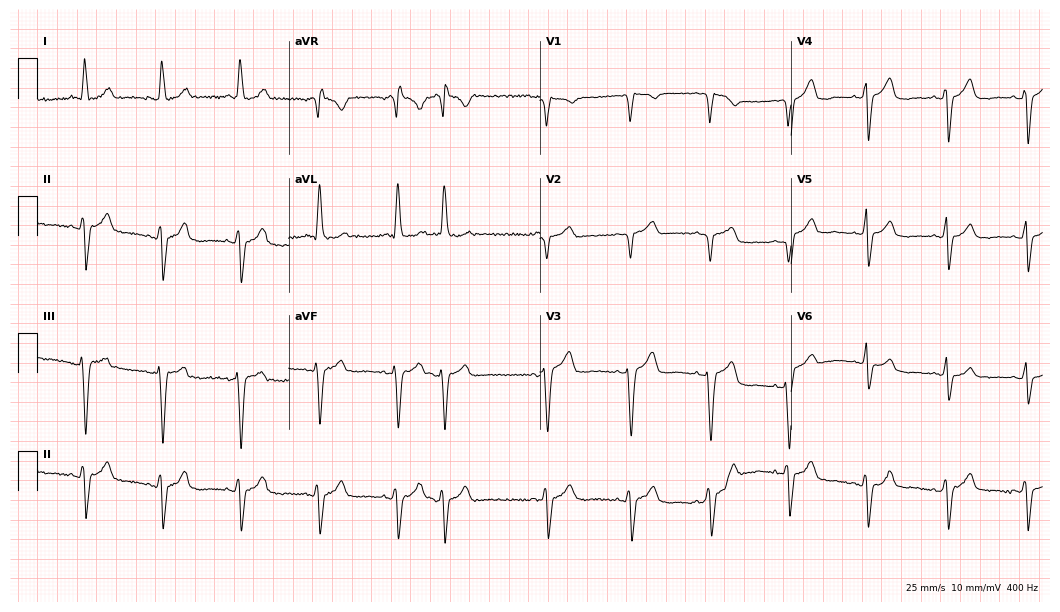
Electrocardiogram (10.2-second recording at 400 Hz), a 77-year-old woman. Of the six screened findings (first-degree AV block, right bundle branch block, left bundle branch block, sinus bradycardia, atrial fibrillation, sinus tachycardia), none is recorded. Other findings, if any, are not listed.